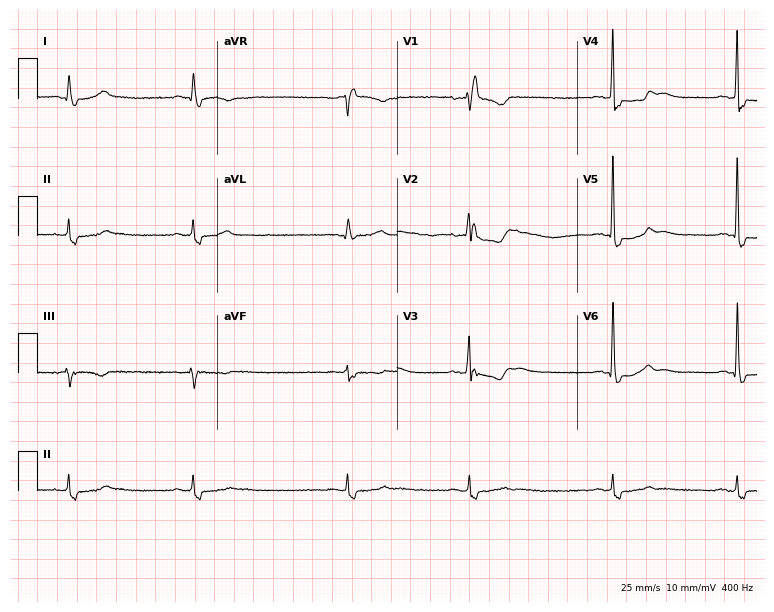
12-lead ECG from a 58-year-old female. Shows right bundle branch block, sinus bradycardia (a sinus rate of 50 beats per minute or less).